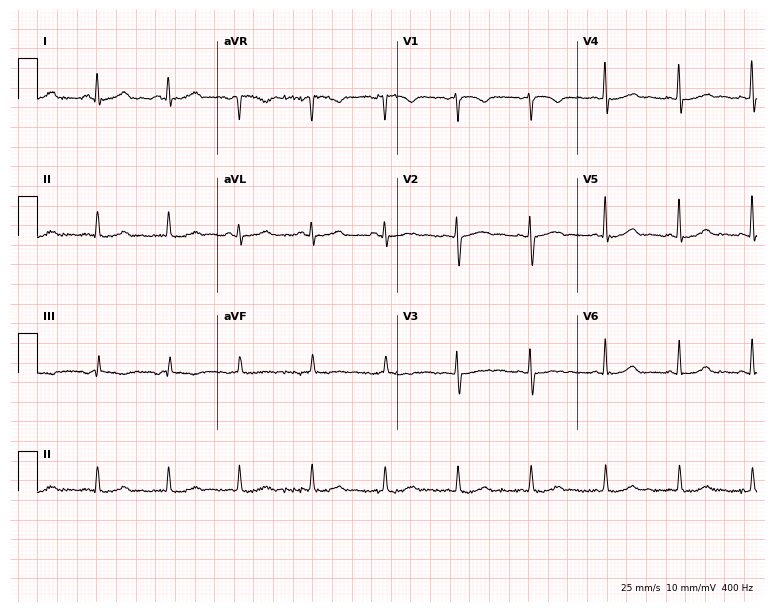
12-lead ECG from a female patient, 54 years old (7.3-second recording at 400 Hz). Recorded interpretation: within normal limits.